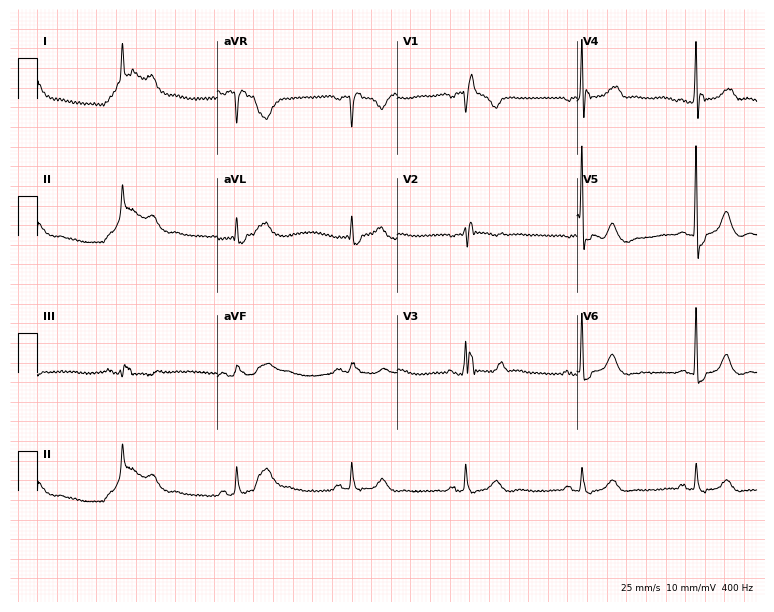
Electrocardiogram (7.3-second recording at 400 Hz), a 76-year-old male patient. Interpretation includes right bundle branch block.